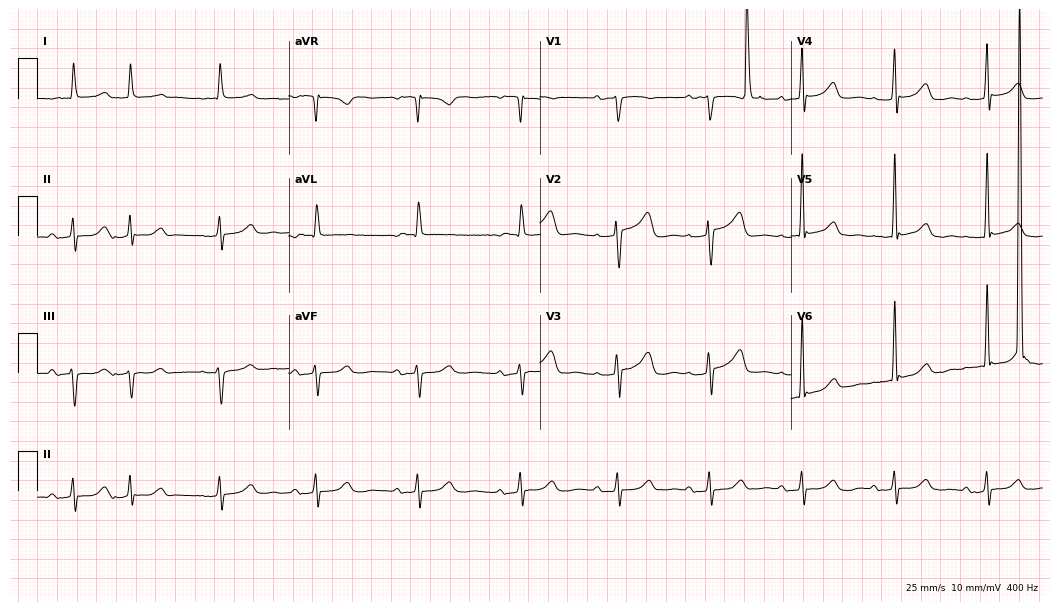
Electrocardiogram (10.2-second recording at 400 Hz), an 85-year-old woman. Interpretation includes first-degree AV block, sinus tachycardia (a sinus rate of 100 beats per minute or more).